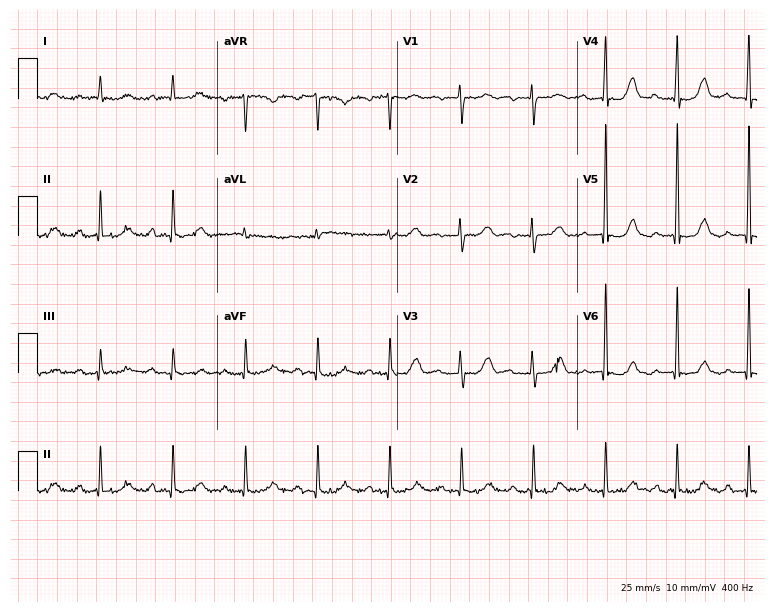
12-lead ECG from a female patient, 75 years old (7.3-second recording at 400 Hz). Shows first-degree AV block.